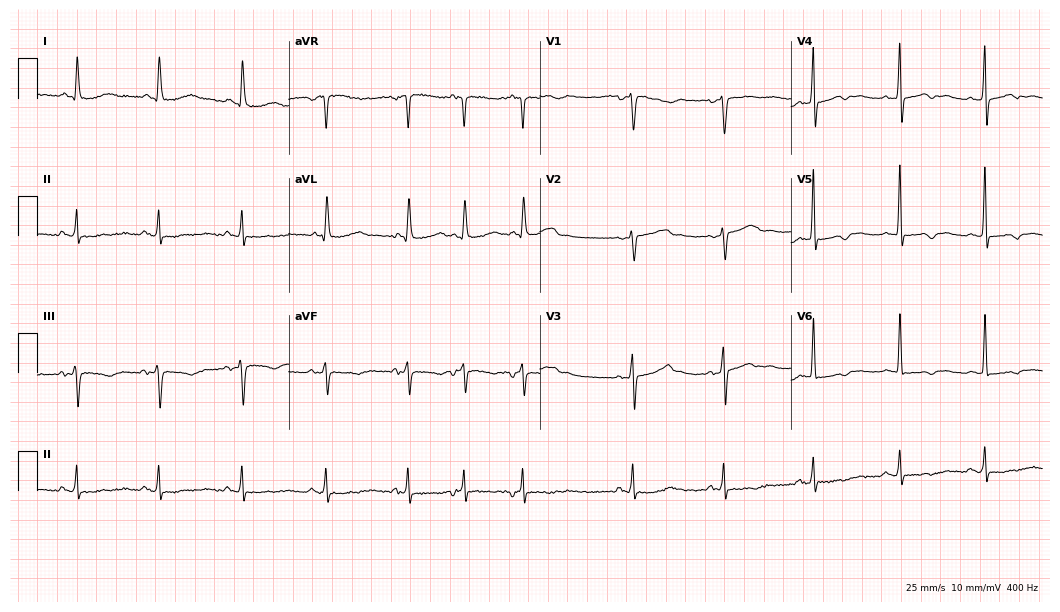
Standard 12-lead ECG recorded from a 65-year-old female (10.2-second recording at 400 Hz). None of these six findings is recorded: first-degree AV block, right bundle branch block (RBBB), left bundle branch block (LBBB), sinus bradycardia, atrial fibrillation (AF), sinus tachycardia.